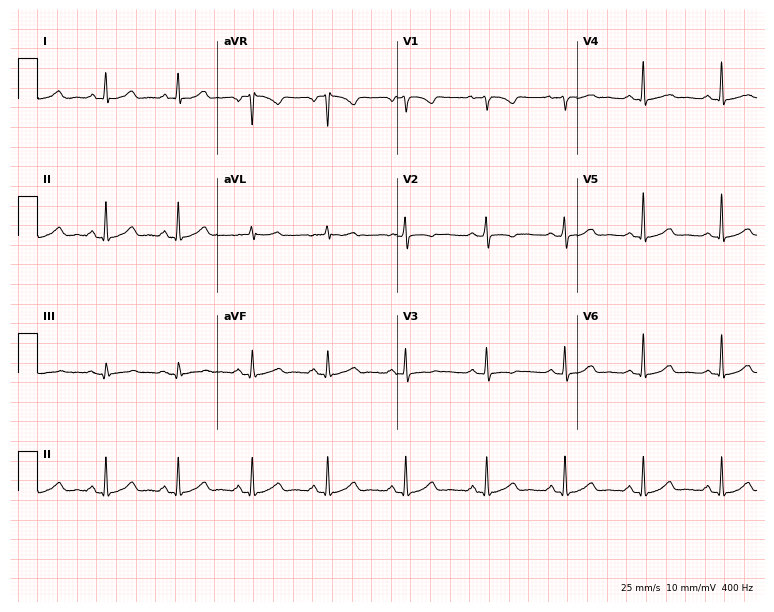
Electrocardiogram (7.3-second recording at 400 Hz), a 46-year-old female patient. Of the six screened findings (first-degree AV block, right bundle branch block, left bundle branch block, sinus bradycardia, atrial fibrillation, sinus tachycardia), none is recorded. Other findings, if any, are not listed.